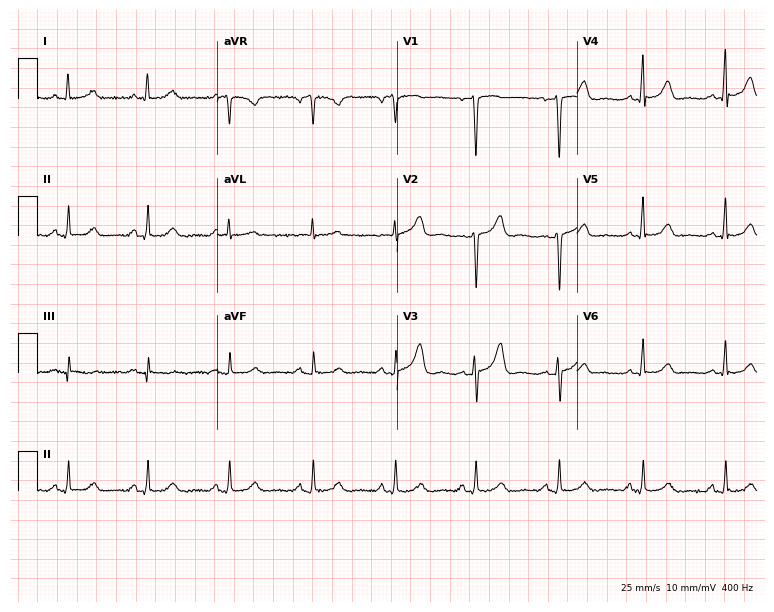
12-lead ECG from a female patient, 48 years old (7.3-second recording at 400 Hz). Recorded interpretation: within normal limits.